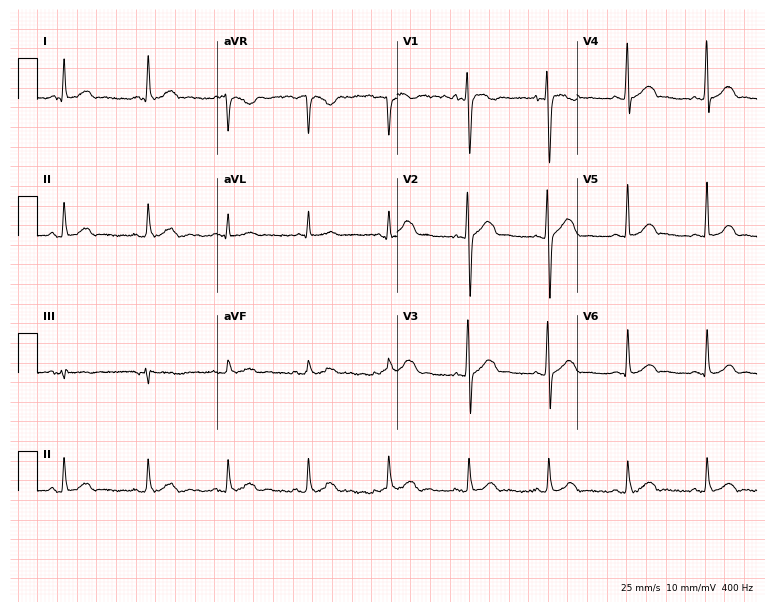
Resting 12-lead electrocardiogram (7.3-second recording at 400 Hz). Patient: a male, 21 years old. Read as a normal ECG.